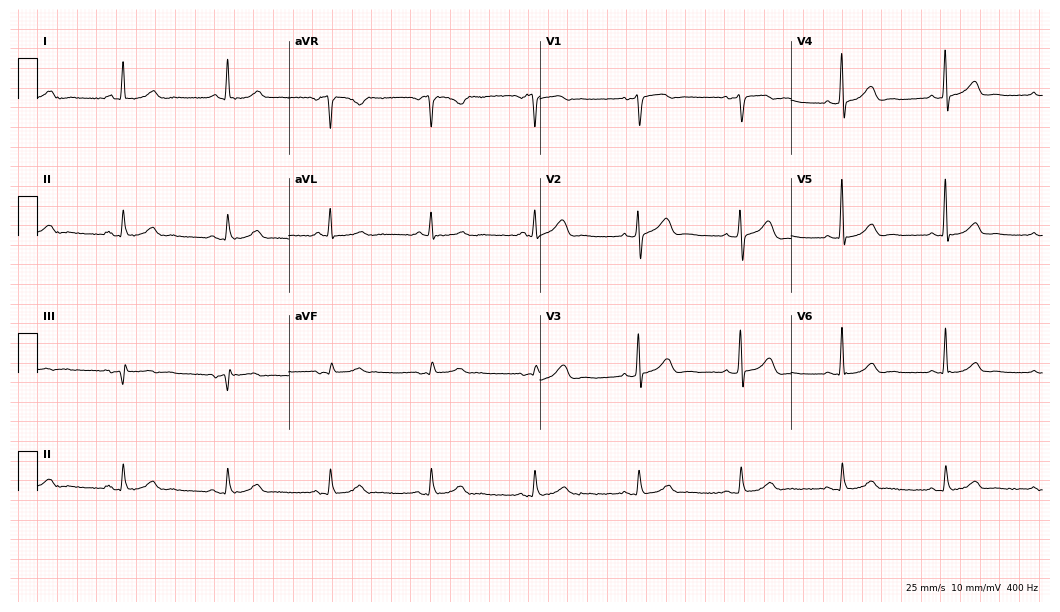
Electrocardiogram (10.2-second recording at 400 Hz), a female patient, 58 years old. Overall reading on record: normal ECG.